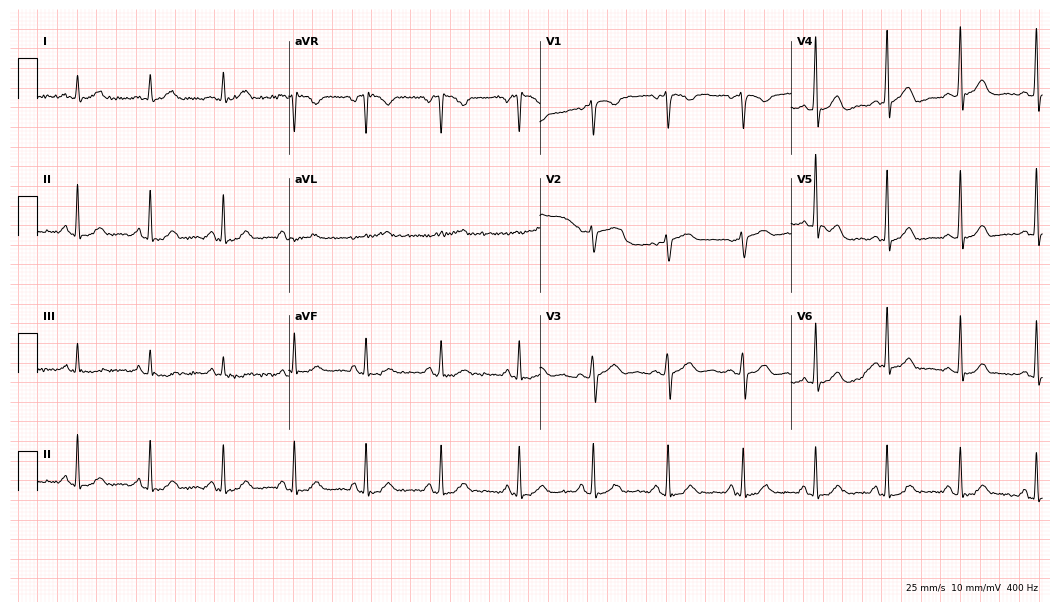
Standard 12-lead ECG recorded from a female, 42 years old (10.2-second recording at 400 Hz). Read as a normal ECG.